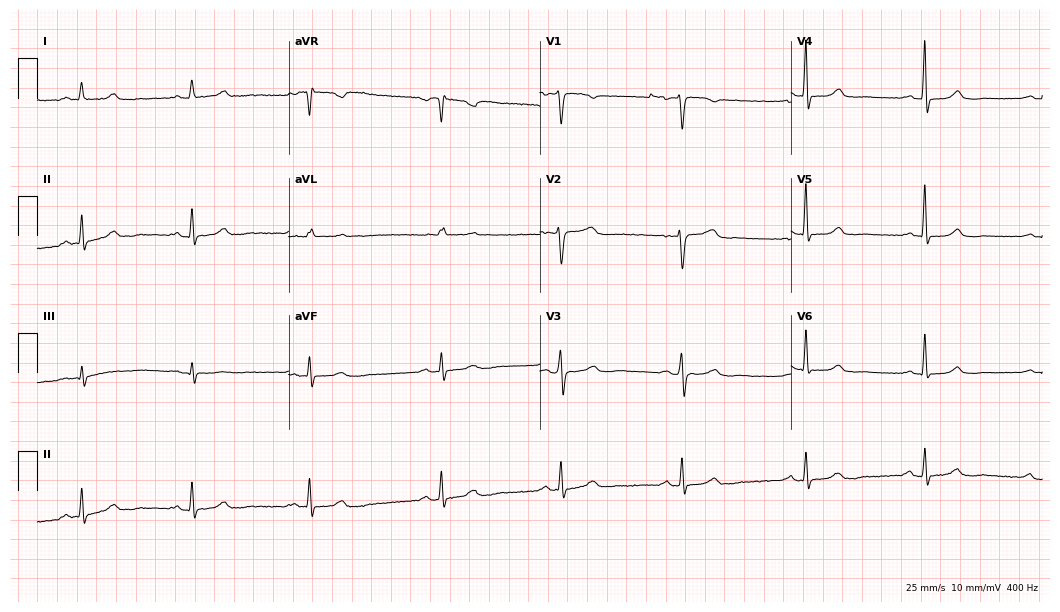
12-lead ECG from a 65-year-old woman. Screened for six findings — first-degree AV block, right bundle branch block, left bundle branch block, sinus bradycardia, atrial fibrillation, sinus tachycardia — none is recorded. Other findings, if any, are not listed.